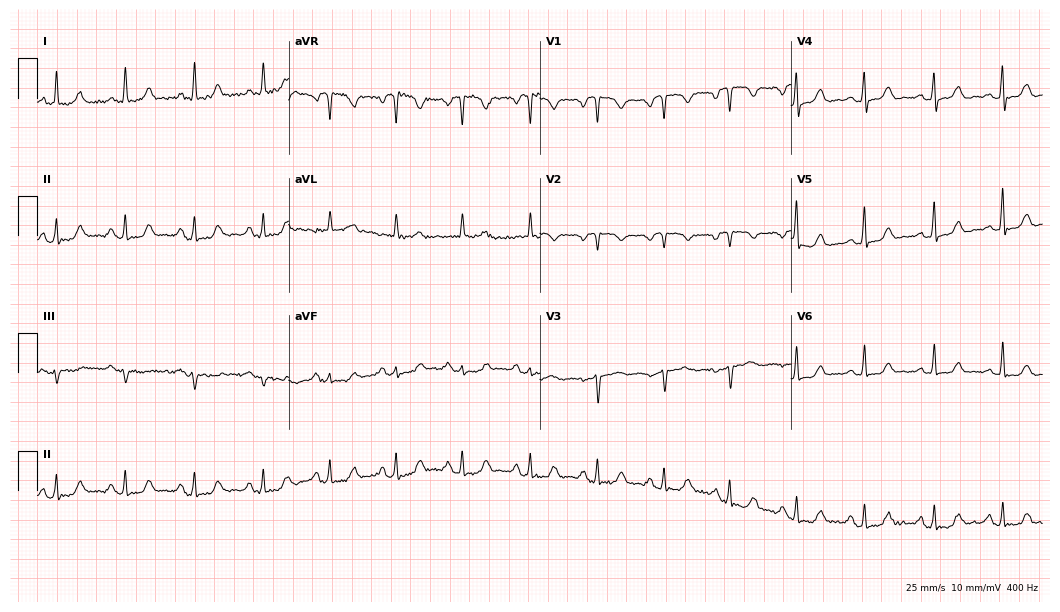
12-lead ECG from a 47-year-old female. Screened for six findings — first-degree AV block, right bundle branch block (RBBB), left bundle branch block (LBBB), sinus bradycardia, atrial fibrillation (AF), sinus tachycardia — none is recorded. Other findings, if any, are not listed.